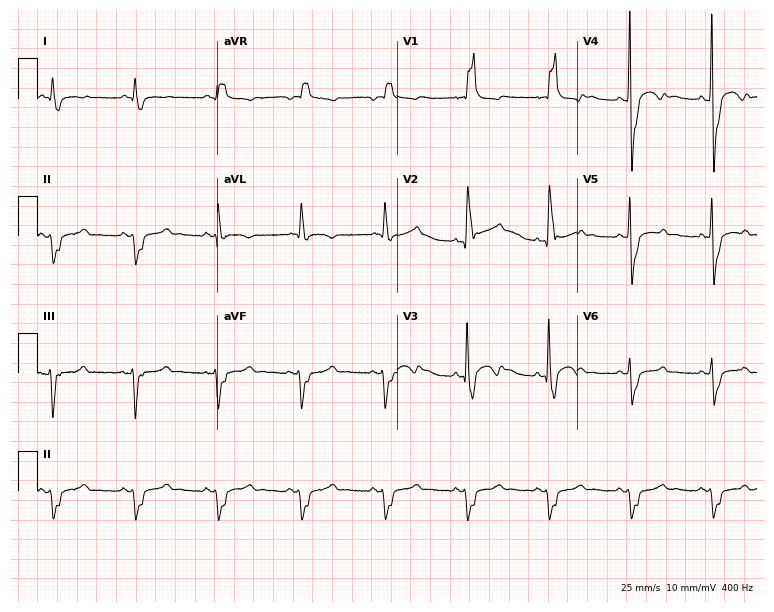
ECG (7.3-second recording at 400 Hz) — a 45-year-old male patient. Findings include right bundle branch block, left bundle branch block.